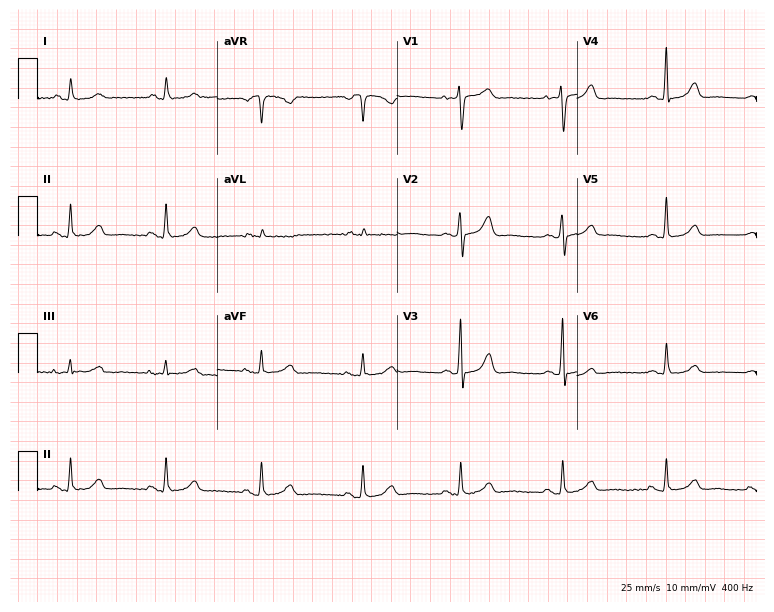
Resting 12-lead electrocardiogram (7.3-second recording at 400 Hz). Patient: a 47-year-old woman. None of these six findings is recorded: first-degree AV block, right bundle branch block, left bundle branch block, sinus bradycardia, atrial fibrillation, sinus tachycardia. Other findings, if any, are not listed.